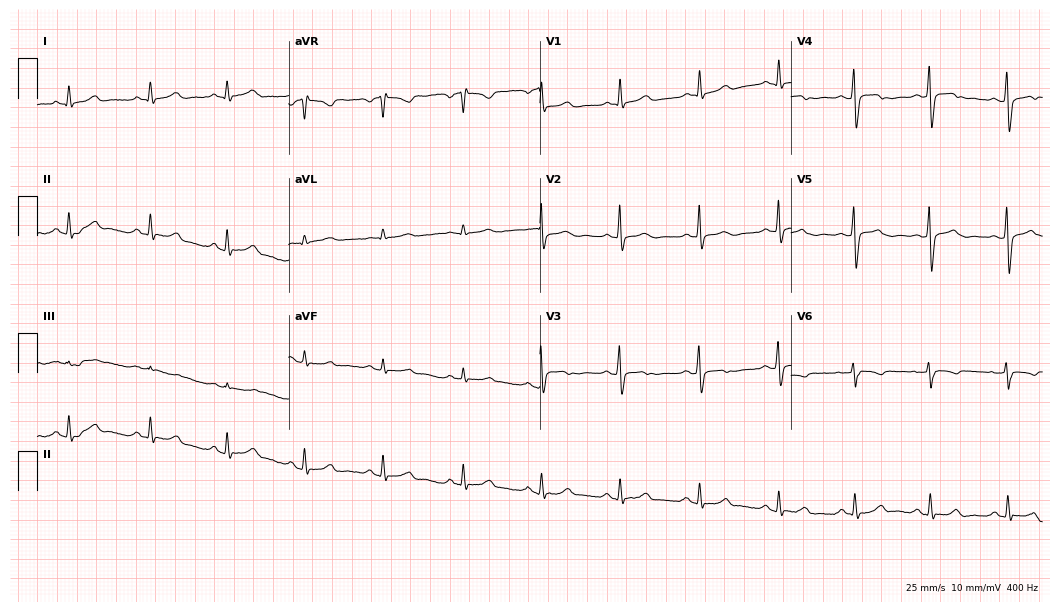
Electrocardiogram, a female, 58 years old. Overall reading on record: normal ECG.